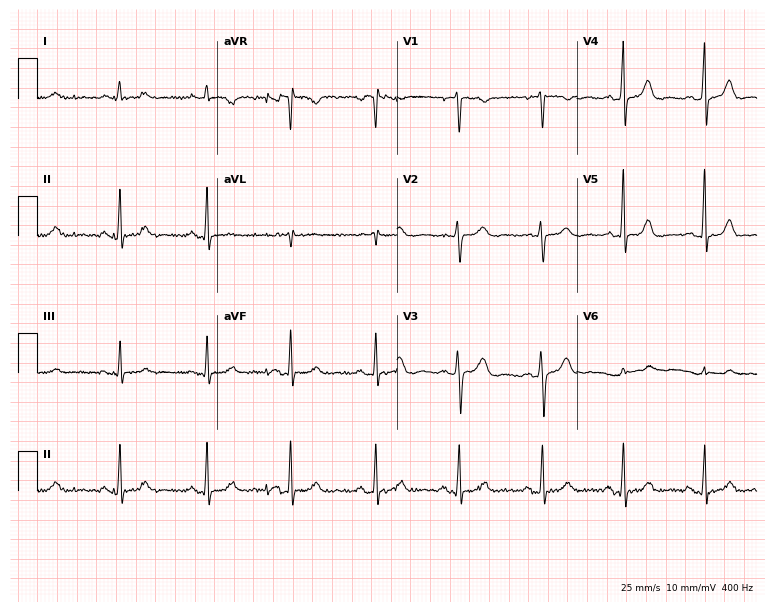
ECG — a woman, 35 years old. Screened for six findings — first-degree AV block, right bundle branch block, left bundle branch block, sinus bradycardia, atrial fibrillation, sinus tachycardia — none is recorded.